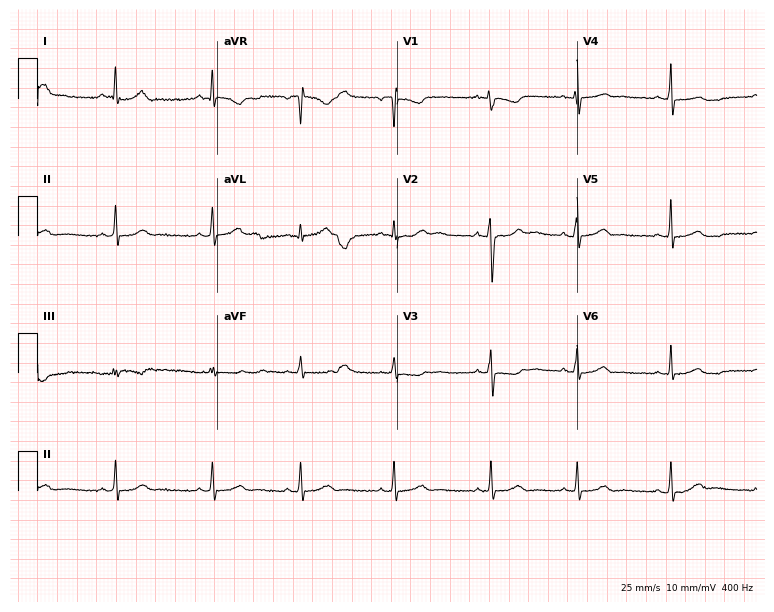
12-lead ECG from a woman, 32 years old. No first-degree AV block, right bundle branch block (RBBB), left bundle branch block (LBBB), sinus bradycardia, atrial fibrillation (AF) or sinus tachycardia recorded for this tracing.